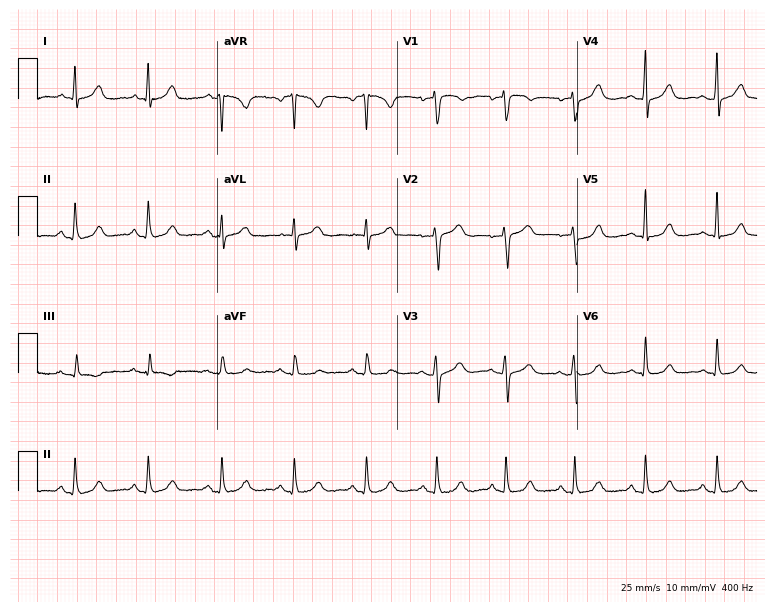
12-lead ECG from a 42-year-old female. Labelled as a normal ECG.